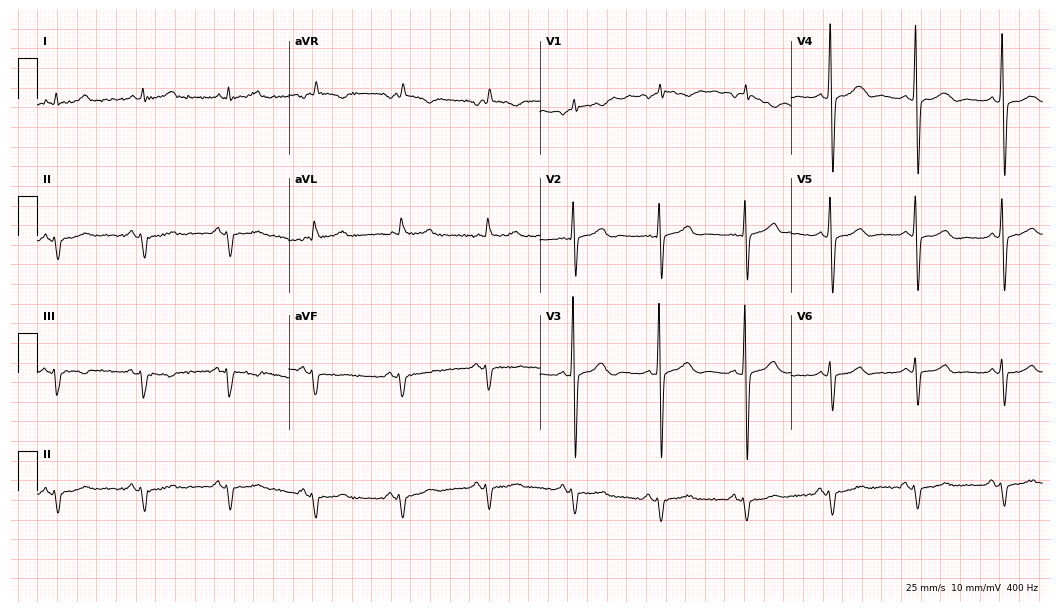
Electrocardiogram, a 78-year-old male patient. Of the six screened findings (first-degree AV block, right bundle branch block (RBBB), left bundle branch block (LBBB), sinus bradycardia, atrial fibrillation (AF), sinus tachycardia), none is recorded. Findings outside these six are not listed.